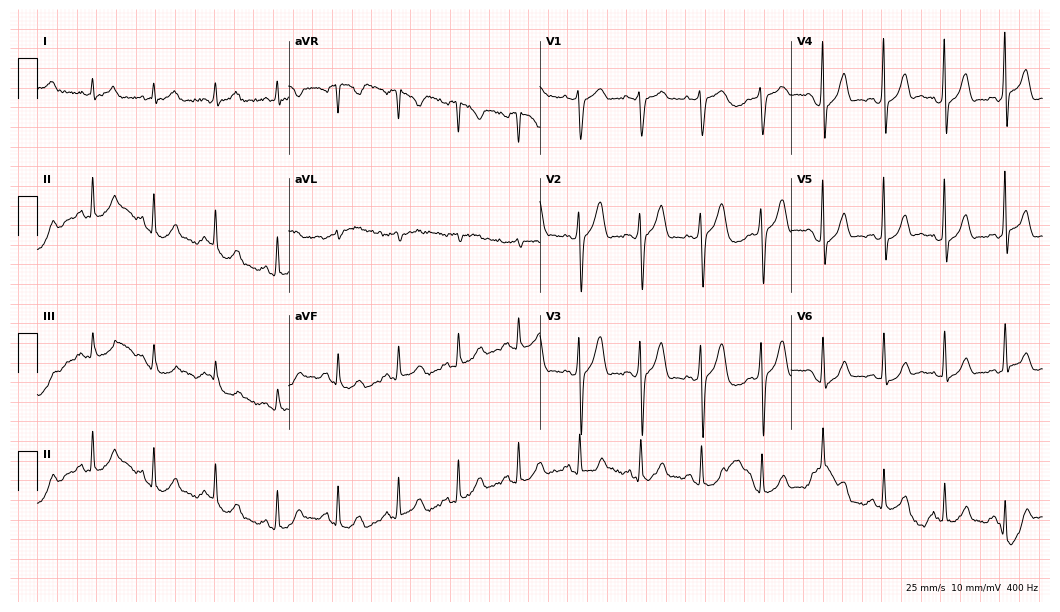
ECG — a male, 75 years old. Labelled as a normal ECG.